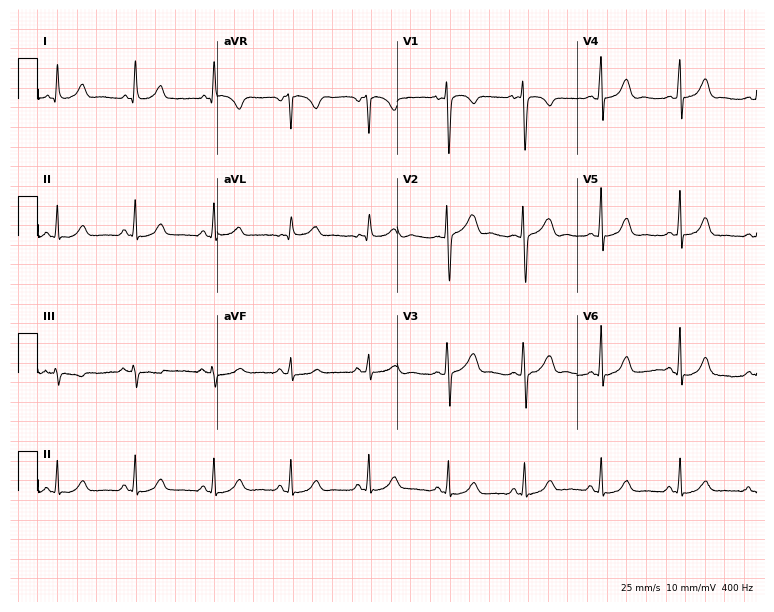
ECG (7.3-second recording at 400 Hz) — a woman, 26 years old. Labelled as a normal ECG.